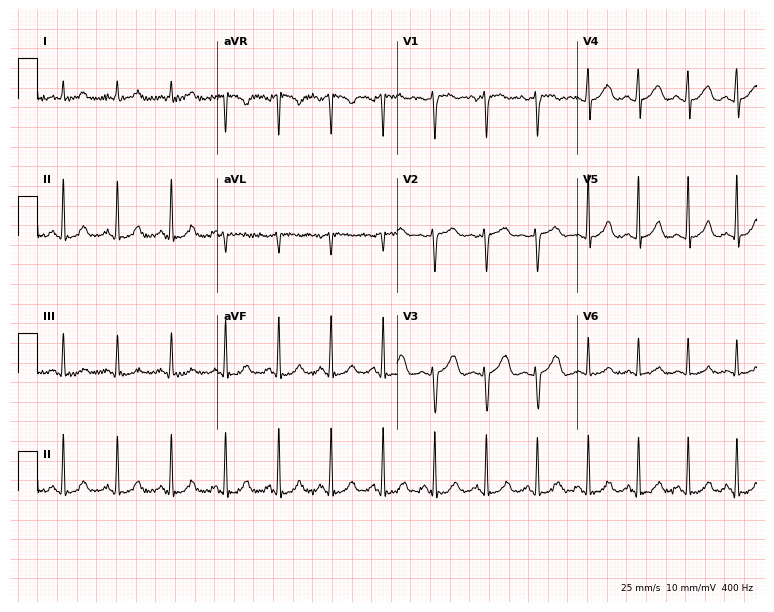
12-lead ECG (7.3-second recording at 400 Hz) from a female patient, 33 years old. Findings include sinus tachycardia (a sinus rate of 100 beats per minute or more).